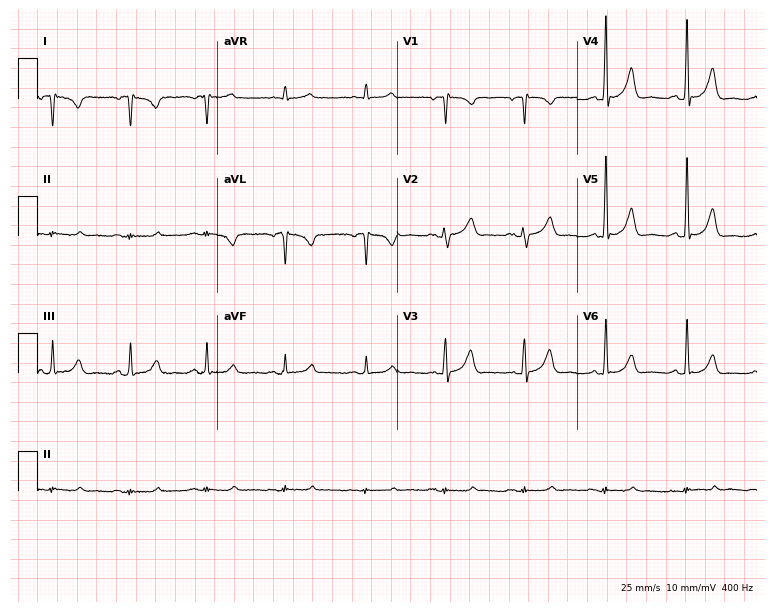
ECG (7.3-second recording at 400 Hz) — a 70-year-old man. Screened for six findings — first-degree AV block, right bundle branch block, left bundle branch block, sinus bradycardia, atrial fibrillation, sinus tachycardia — none is recorded.